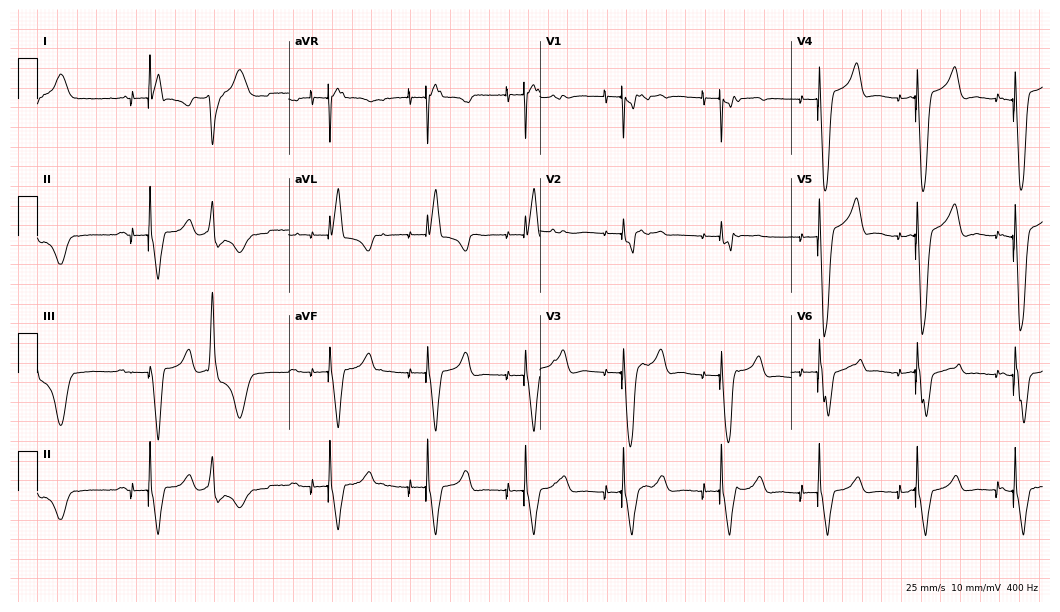
12-lead ECG from a 59-year-old male patient (10.2-second recording at 400 Hz). No first-degree AV block, right bundle branch block, left bundle branch block, sinus bradycardia, atrial fibrillation or sinus tachycardia recorded for this tracing.